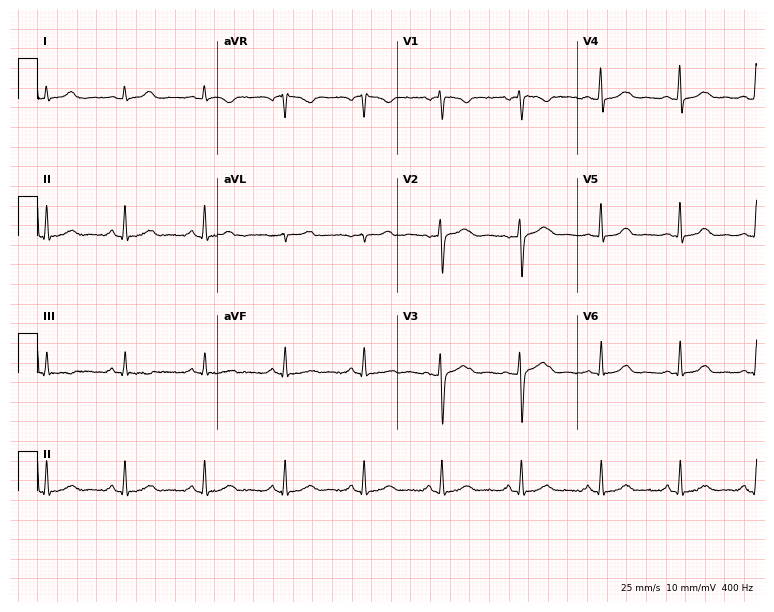
Electrocardiogram (7.3-second recording at 400 Hz), a woman, 23 years old. Overall reading on record: normal ECG.